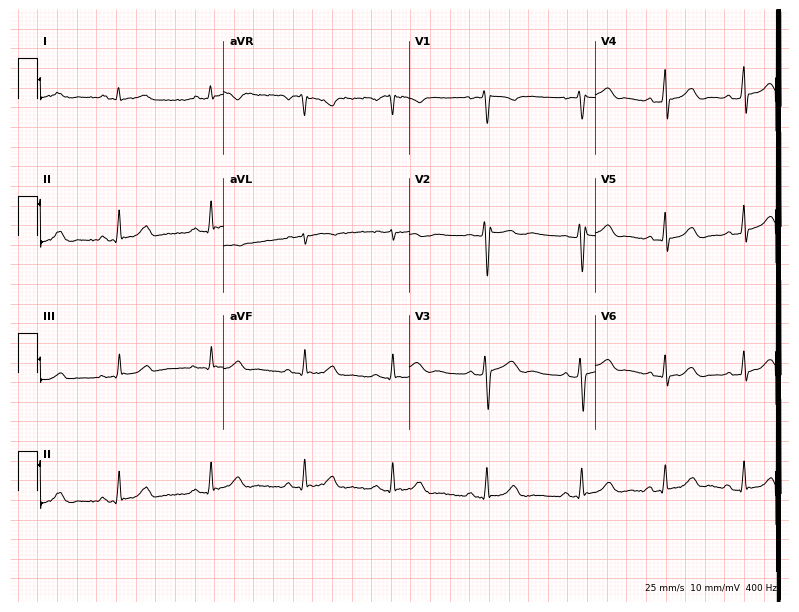
Electrocardiogram (7.6-second recording at 400 Hz), a female patient, 17 years old. Of the six screened findings (first-degree AV block, right bundle branch block, left bundle branch block, sinus bradycardia, atrial fibrillation, sinus tachycardia), none is recorded.